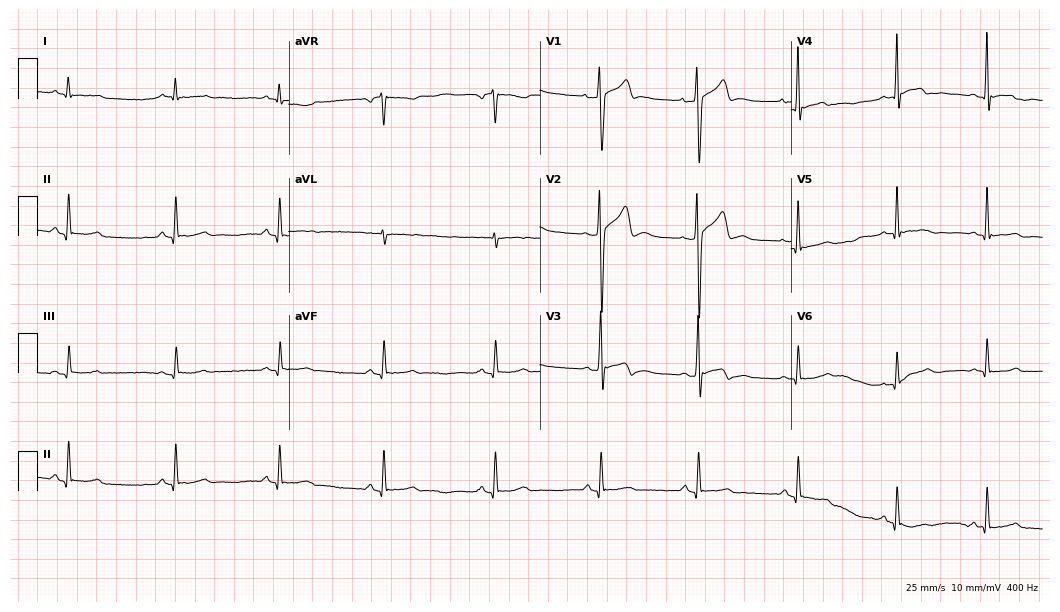
Standard 12-lead ECG recorded from a man, 27 years old. None of these six findings is recorded: first-degree AV block, right bundle branch block (RBBB), left bundle branch block (LBBB), sinus bradycardia, atrial fibrillation (AF), sinus tachycardia. Findings outside these six are not listed.